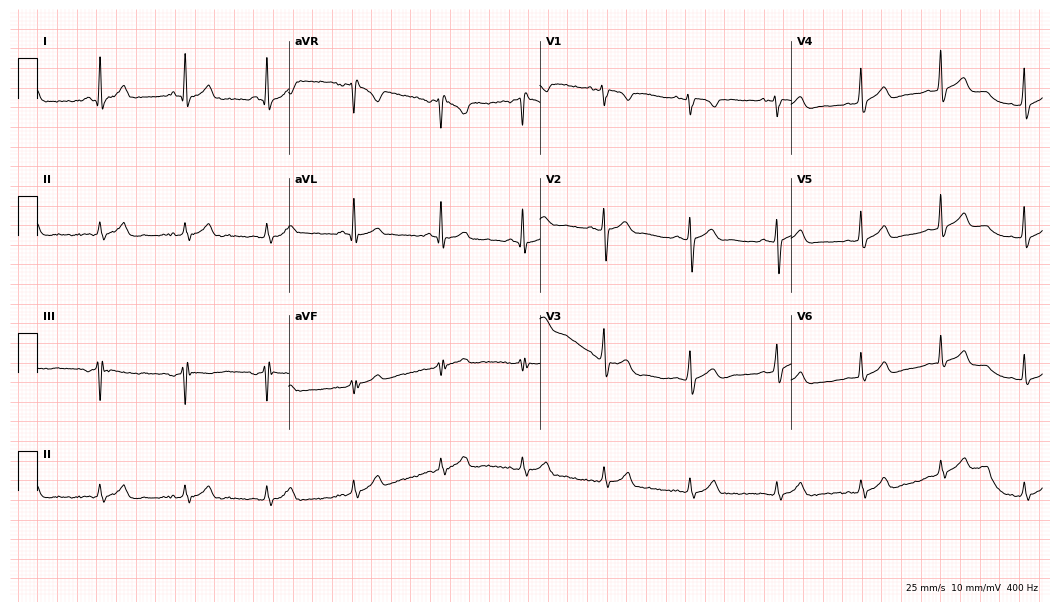
12-lead ECG from a male patient, 32 years old (10.2-second recording at 400 Hz). Recorded interpretation: within normal limits.